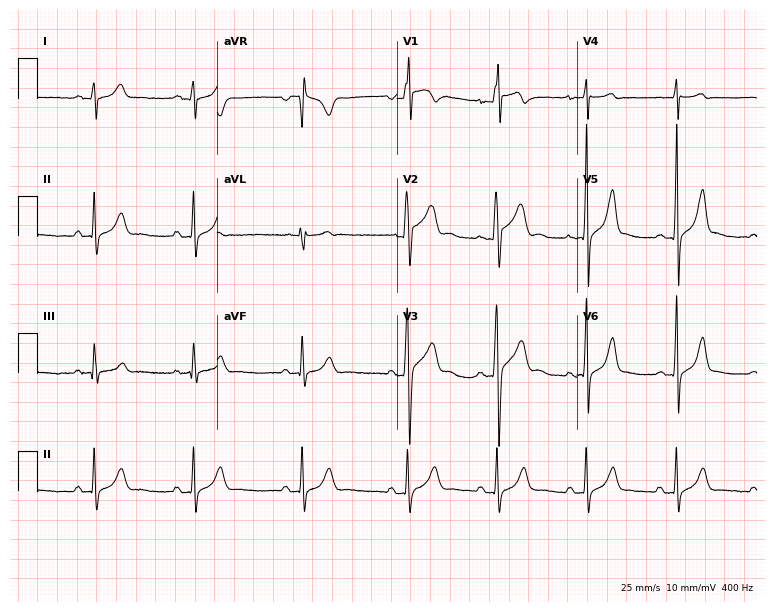
12-lead ECG from a man, 19 years old. Labelled as a normal ECG.